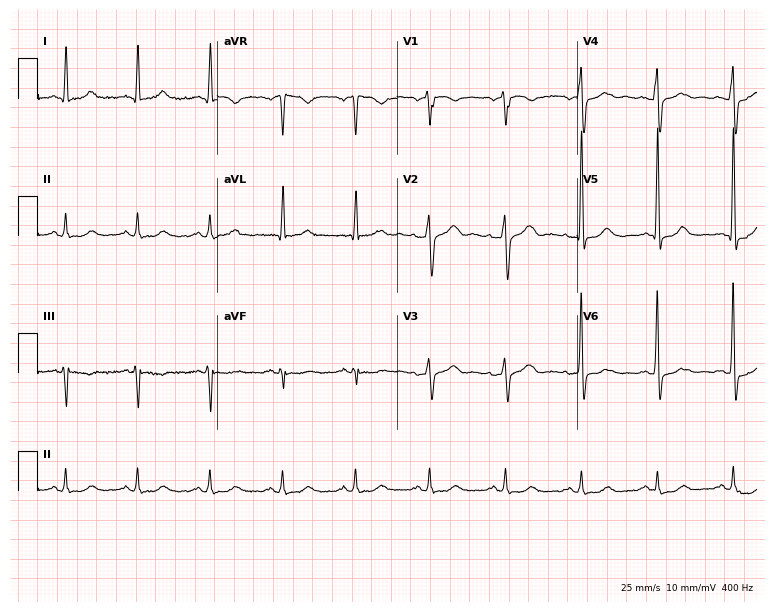
12-lead ECG from a 62-year-old man. No first-degree AV block, right bundle branch block, left bundle branch block, sinus bradycardia, atrial fibrillation or sinus tachycardia recorded for this tracing. Findings outside these six are not listed.